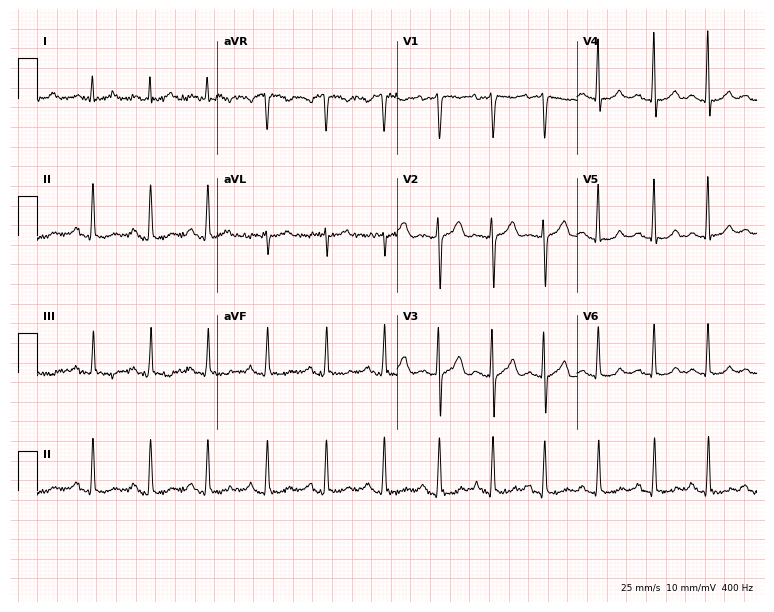
ECG (7.3-second recording at 400 Hz) — a 17-year-old female. Findings include sinus tachycardia (a sinus rate of 100 beats per minute or more).